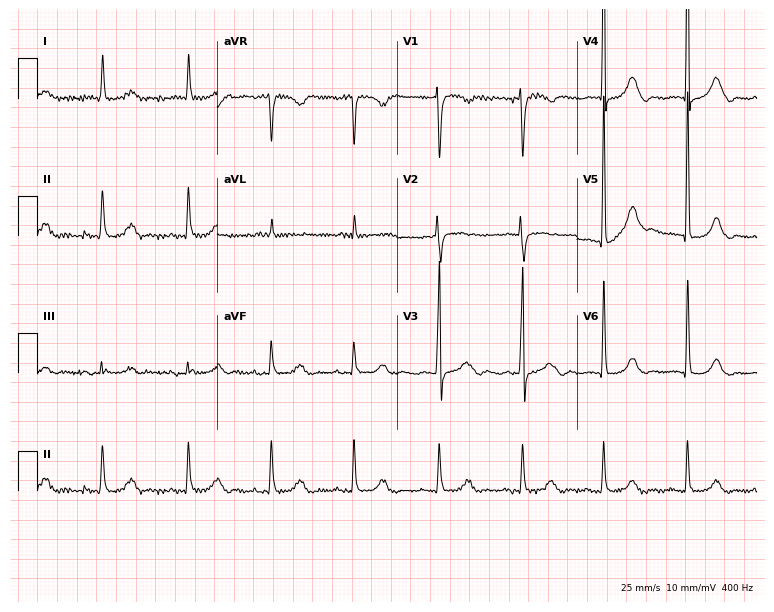
Resting 12-lead electrocardiogram. Patient: an 80-year-old female. None of these six findings is recorded: first-degree AV block, right bundle branch block, left bundle branch block, sinus bradycardia, atrial fibrillation, sinus tachycardia.